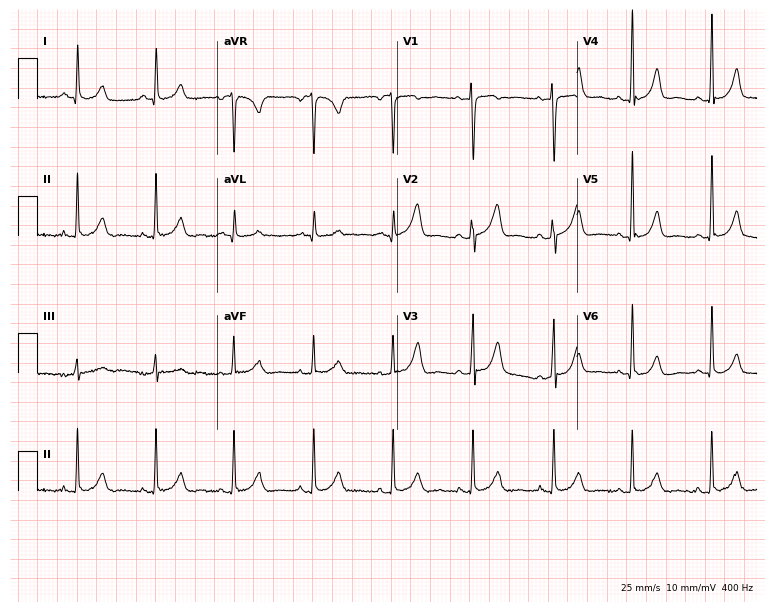
Resting 12-lead electrocardiogram (7.3-second recording at 400 Hz). Patient: a 27-year-old woman. Read as a normal ECG.